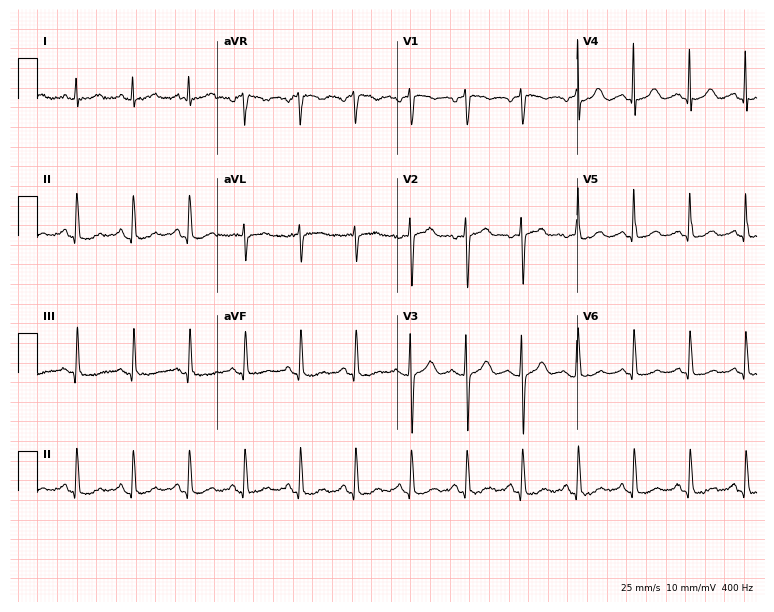
Electrocardiogram (7.3-second recording at 400 Hz), a 58-year-old woman. Interpretation includes sinus tachycardia (a sinus rate of 100 beats per minute or more).